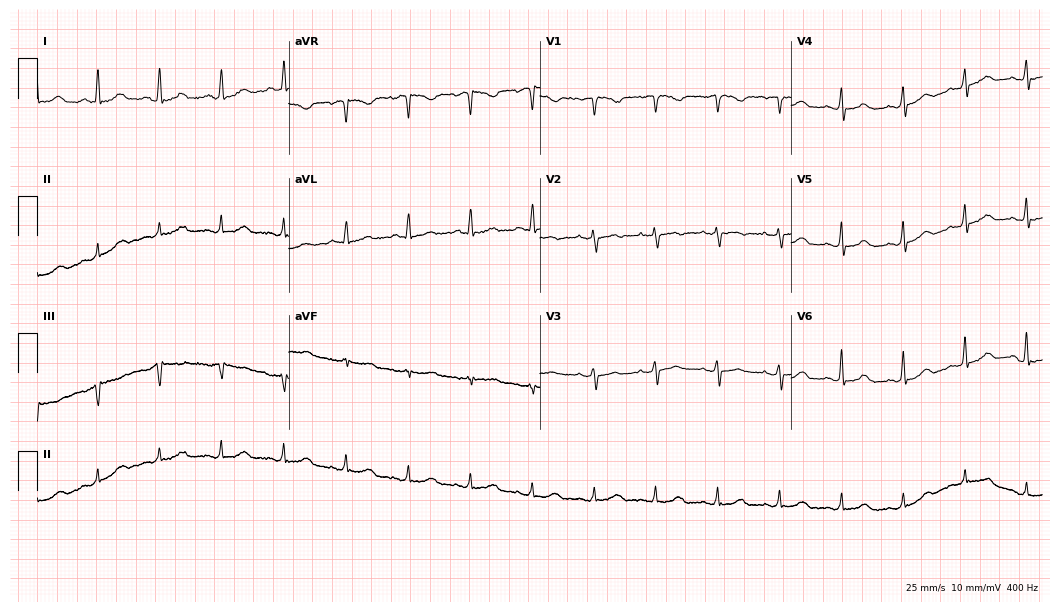
12-lead ECG from a female patient, 60 years old. Labelled as a normal ECG.